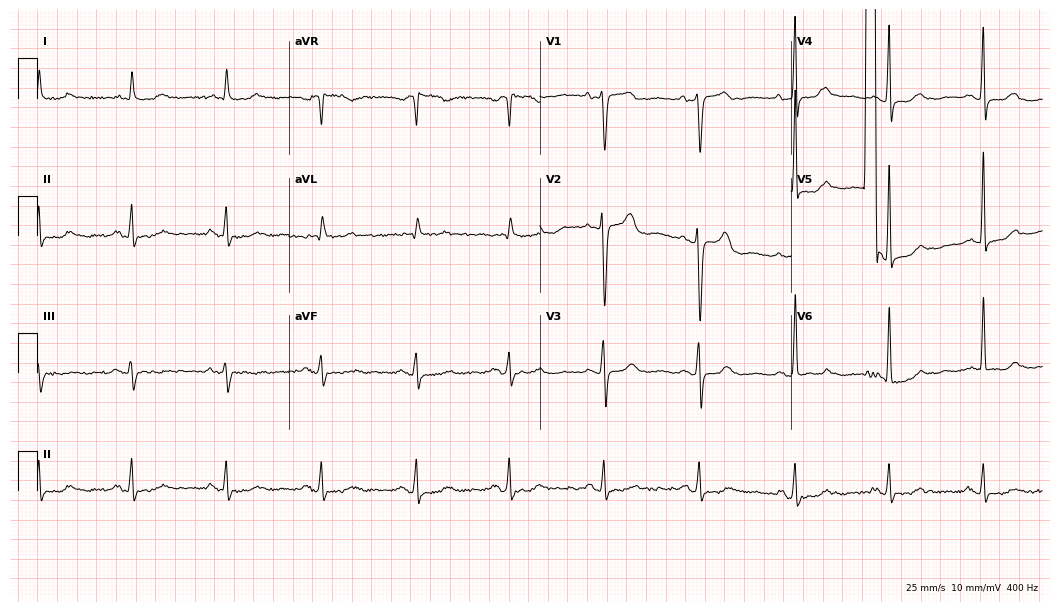
12-lead ECG from a woman, 75 years old. No first-degree AV block, right bundle branch block, left bundle branch block, sinus bradycardia, atrial fibrillation or sinus tachycardia recorded for this tracing.